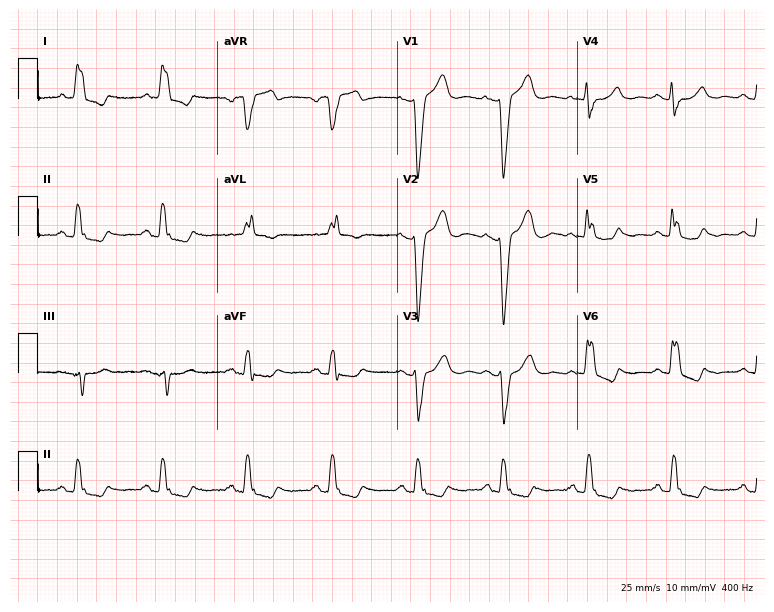
Electrocardiogram (7.3-second recording at 400 Hz), a female, 72 years old. Interpretation includes left bundle branch block (LBBB).